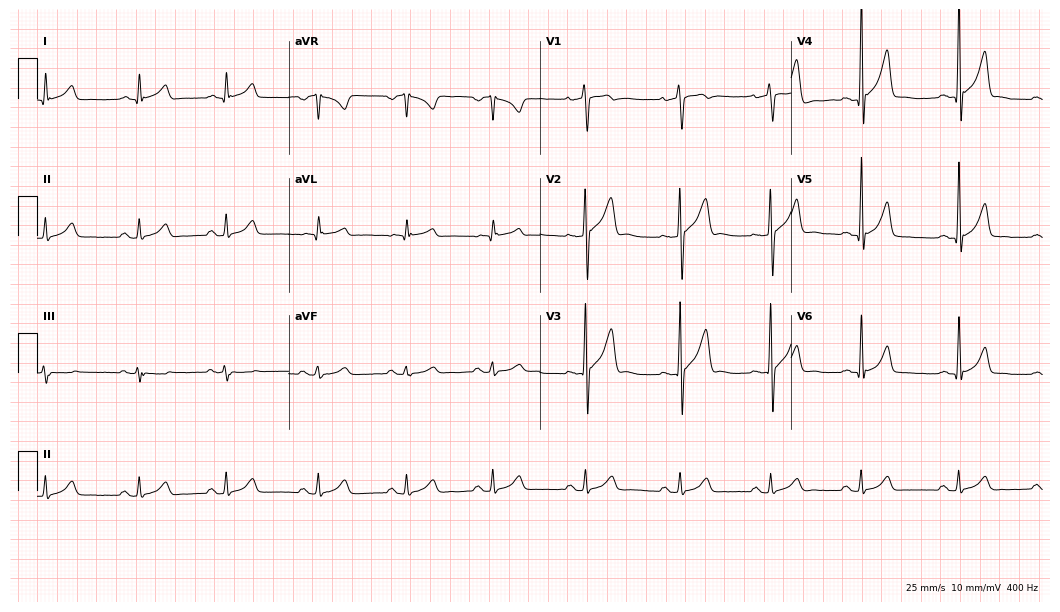
12-lead ECG (10.2-second recording at 400 Hz) from a male, 25 years old. Screened for six findings — first-degree AV block, right bundle branch block, left bundle branch block, sinus bradycardia, atrial fibrillation, sinus tachycardia — none is recorded. Findings outside these six are not listed.